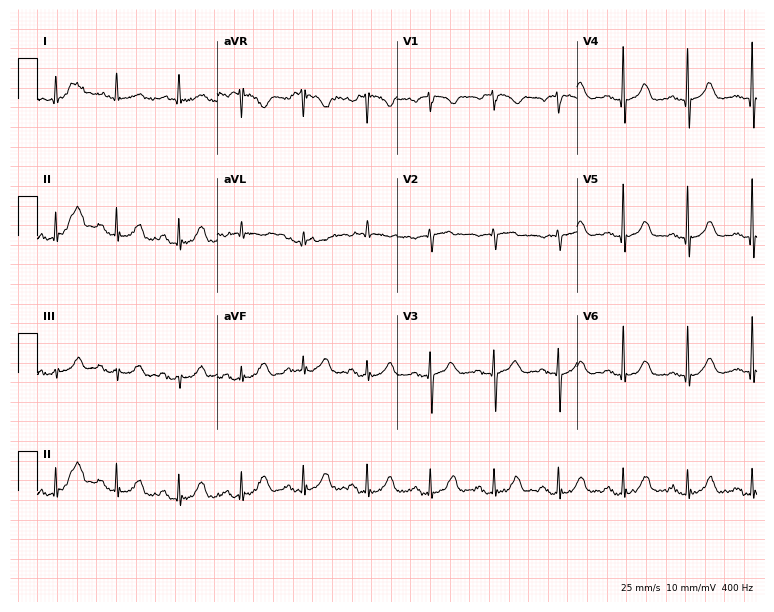
Standard 12-lead ECG recorded from a female, 65 years old. Read as a normal ECG.